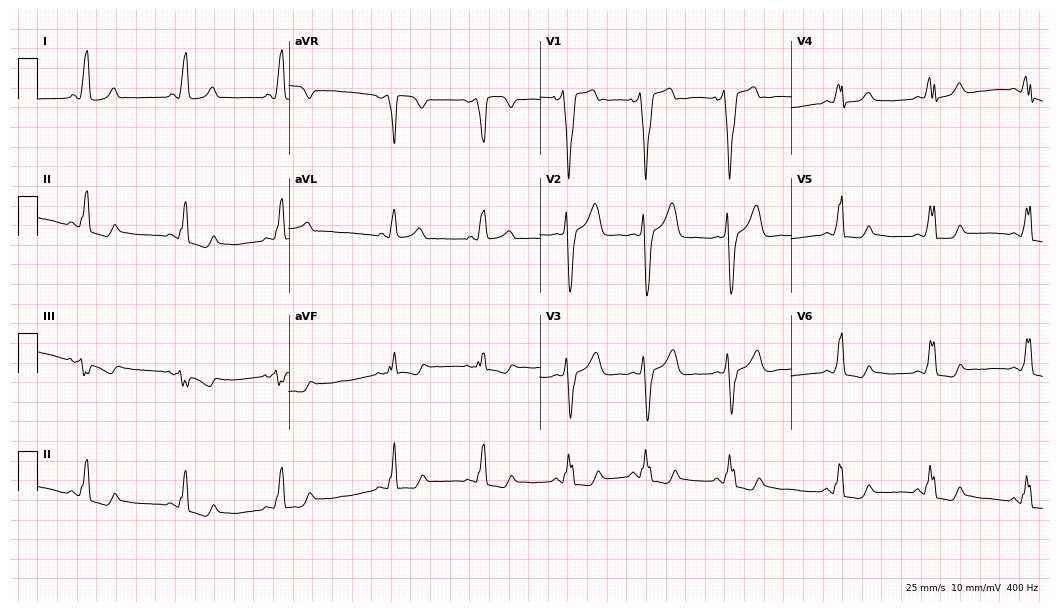
12-lead ECG from an 18-year-old female patient. Shows left bundle branch block.